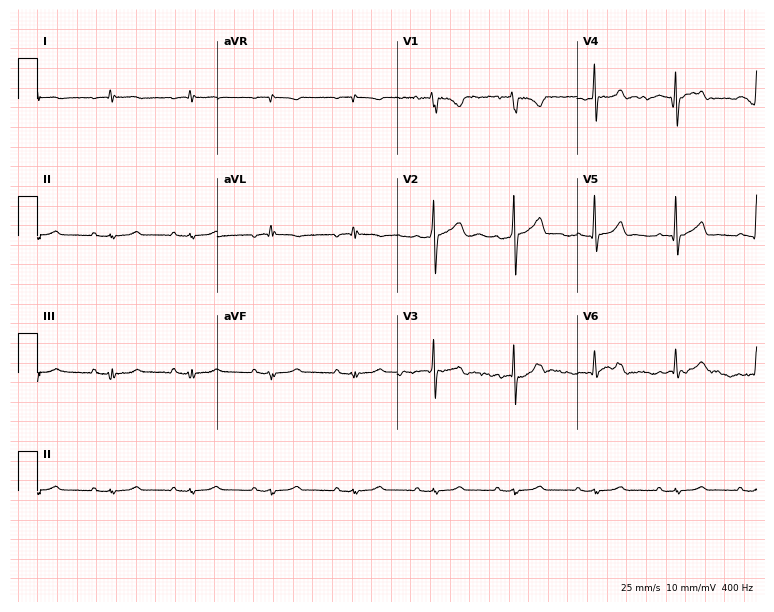
Standard 12-lead ECG recorded from a 60-year-old male. None of these six findings is recorded: first-degree AV block, right bundle branch block (RBBB), left bundle branch block (LBBB), sinus bradycardia, atrial fibrillation (AF), sinus tachycardia.